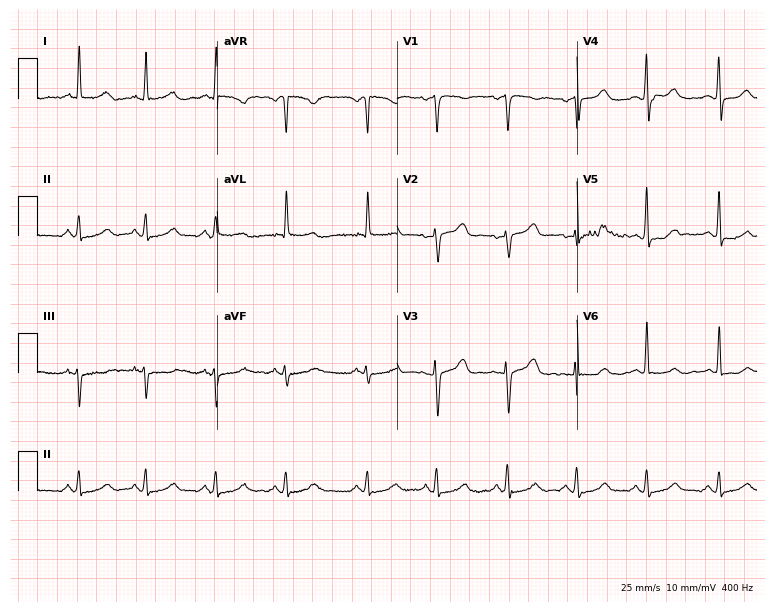
12-lead ECG from a female patient, 58 years old. Labelled as a normal ECG.